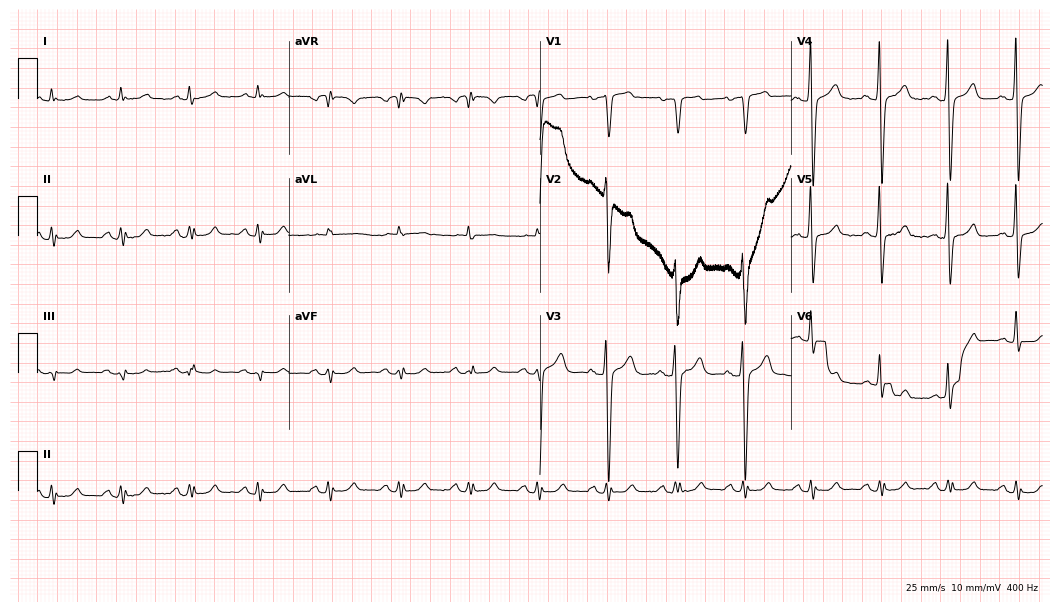
ECG — a male patient, 83 years old. Screened for six findings — first-degree AV block, right bundle branch block (RBBB), left bundle branch block (LBBB), sinus bradycardia, atrial fibrillation (AF), sinus tachycardia — none is recorded. Findings outside these six are not listed.